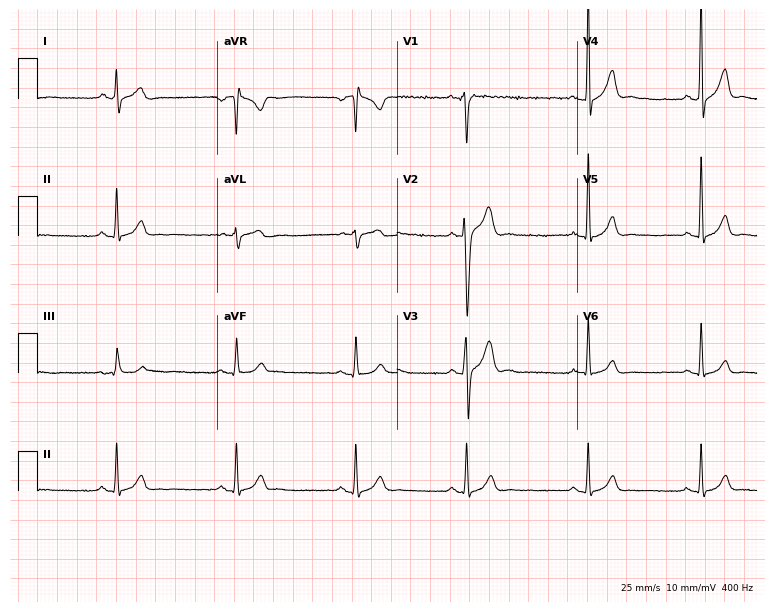
Standard 12-lead ECG recorded from a 28-year-old man (7.3-second recording at 400 Hz). Read as a normal ECG.